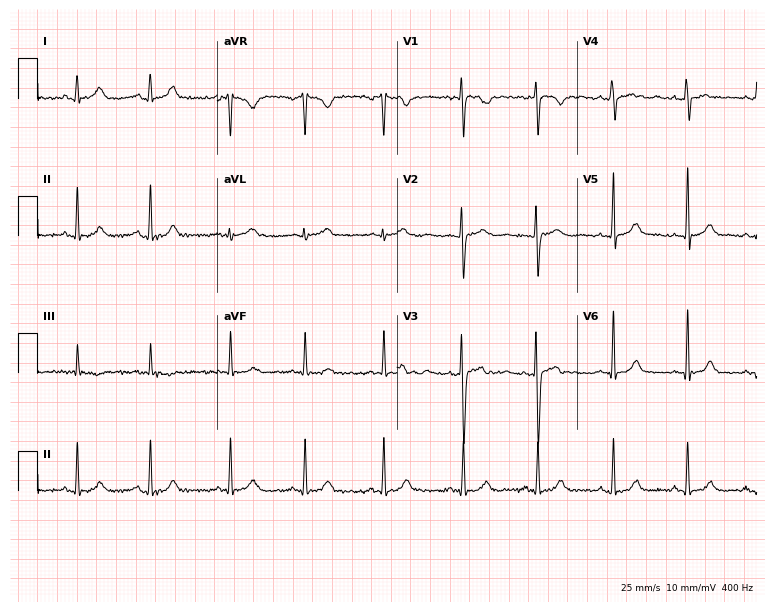
Standard 12-lead ECG recorded from a 28-year-old female patient. Read as a normal ECG.